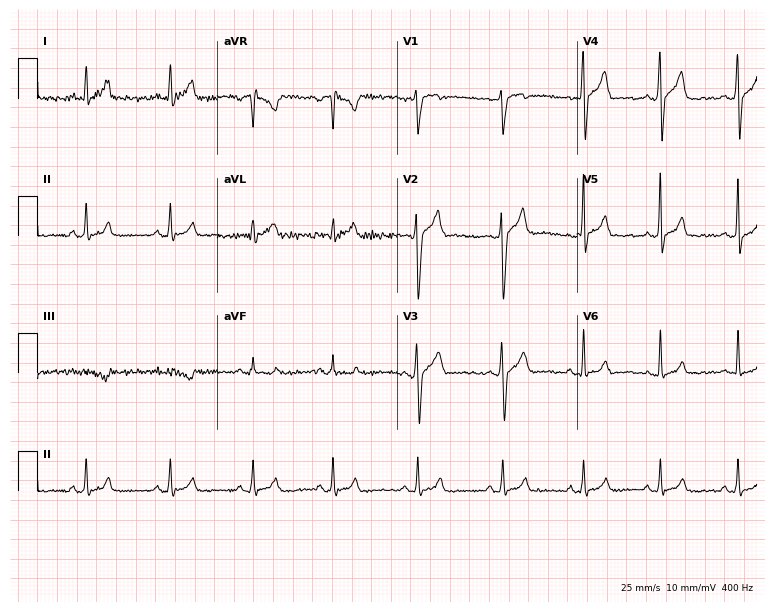
ECG (7.3-second recording at 400 Hz) — a 25-year-old male. Screened for six findings — first-degree AV block, right bundle branch block, left bundle branch block, sinus bradycardia, atrial fibrillation, sinus tachycardia — none is recorded.